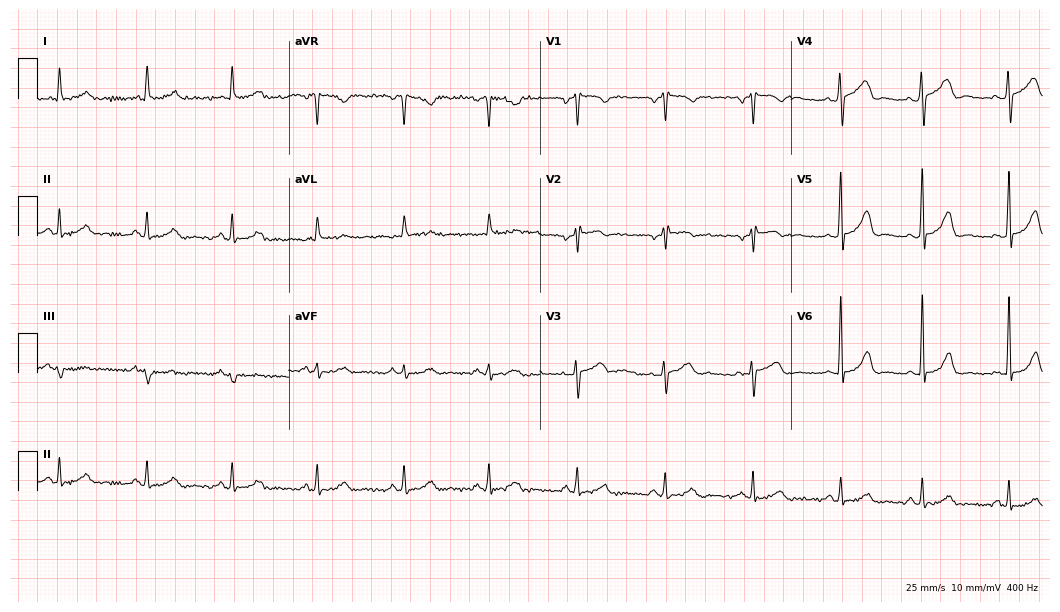
12-lead ECG from a female, 47 years old (10.2-second recording at 400 Hz). Recorded interpretation: within normal limits.